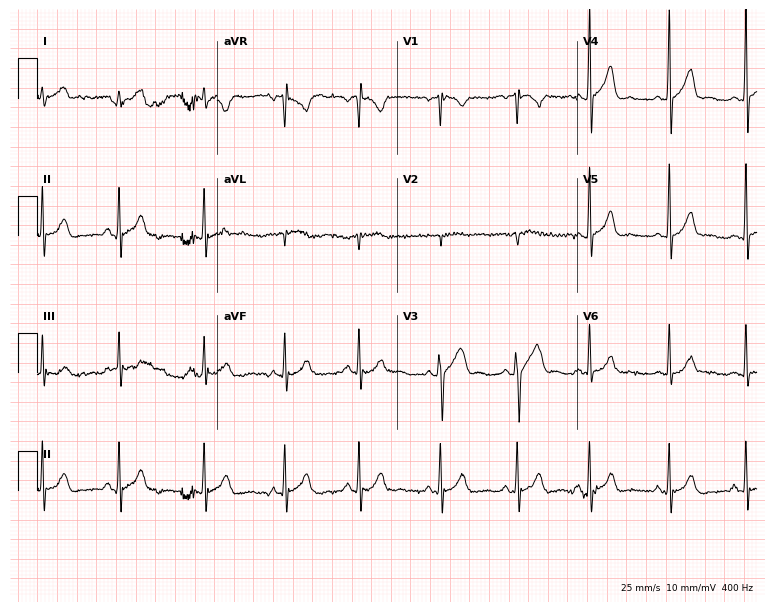
Electrocardiogram (7.3-second recording at 400 Hz), a man, 37 years old. Overall reading on record: normal ECG.